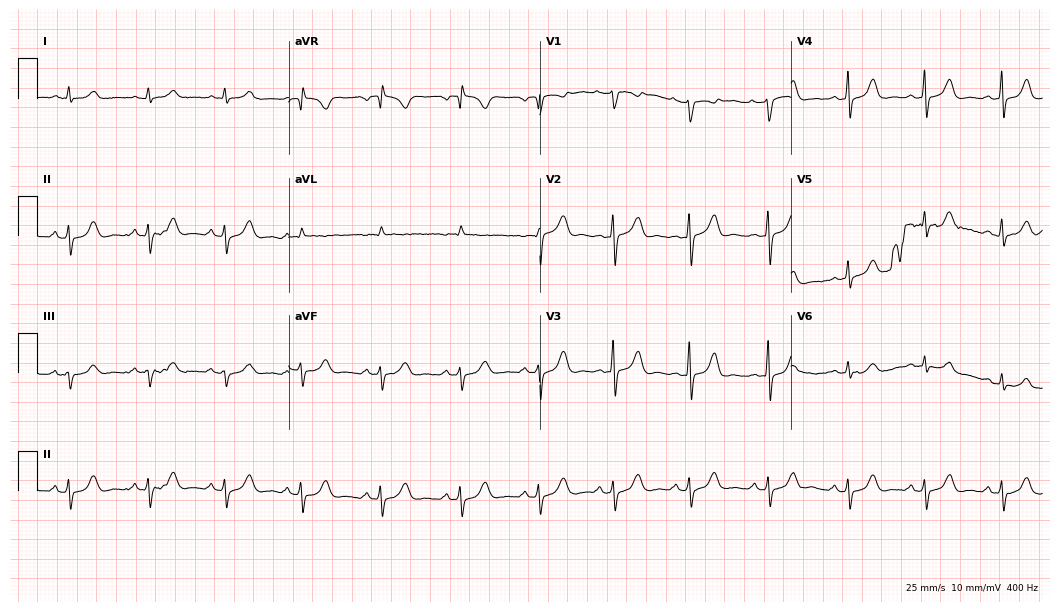
Standard 12-lead ECG recorded from a woman, 29 years old. None of these six findings is recorded: first-degree AV block, right bundle branch block (RBBB), left bundle branch block (LBBB), sinus bradycardia, atrial fibrillation (AF), sinus tachycardia. Findings outside these six are not listed.